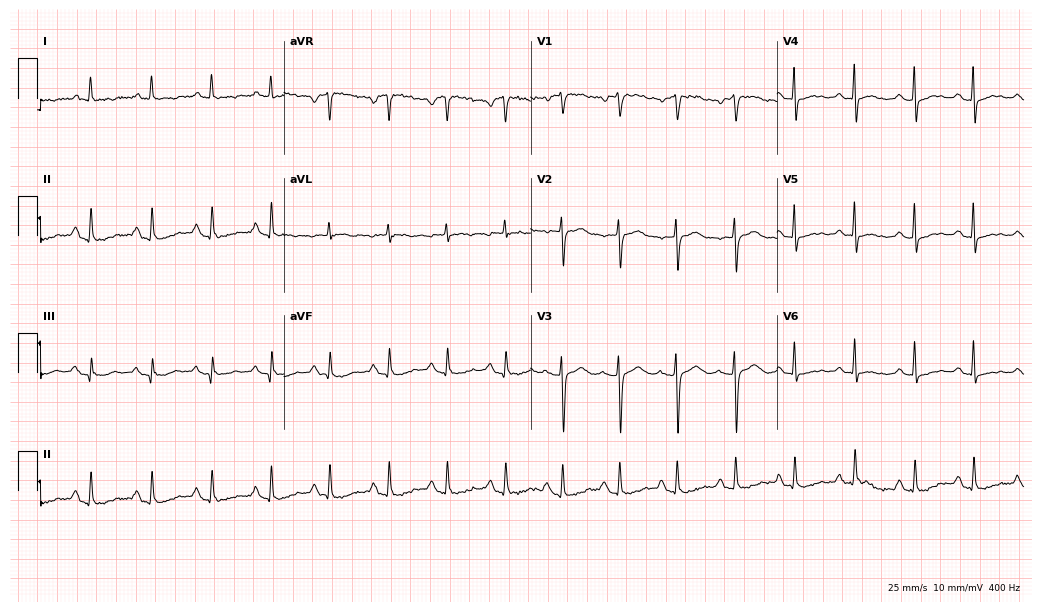
Standard 12-lead ECG recorded from a woman, 57 years old. None of these six findings is recorded: first-degree AV block, right bundle branch block (RBBB), left bundle branch block (LBBB), sinus bradycardia, atrial fibrillation (AF), sinus tachycardia. Other findings, if any, are not listed.